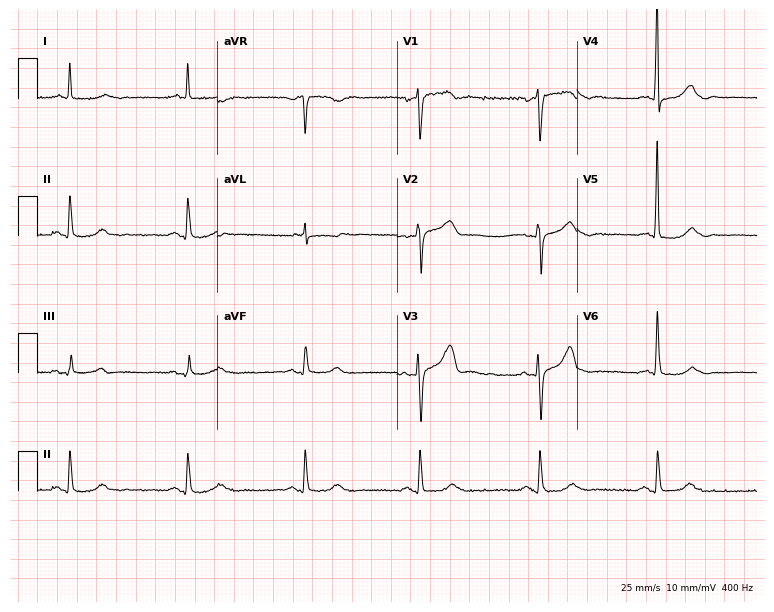
Resting 12-lead electrocardiogram (7.3-second recording at 400 Hz). Patient: a 71-year-old male. None of these six findings is recorded: first-degree AV block, right bundle branch block, left bundle branch block, sinus bradycardia, atrial fibrillation, sinus tachycardia.